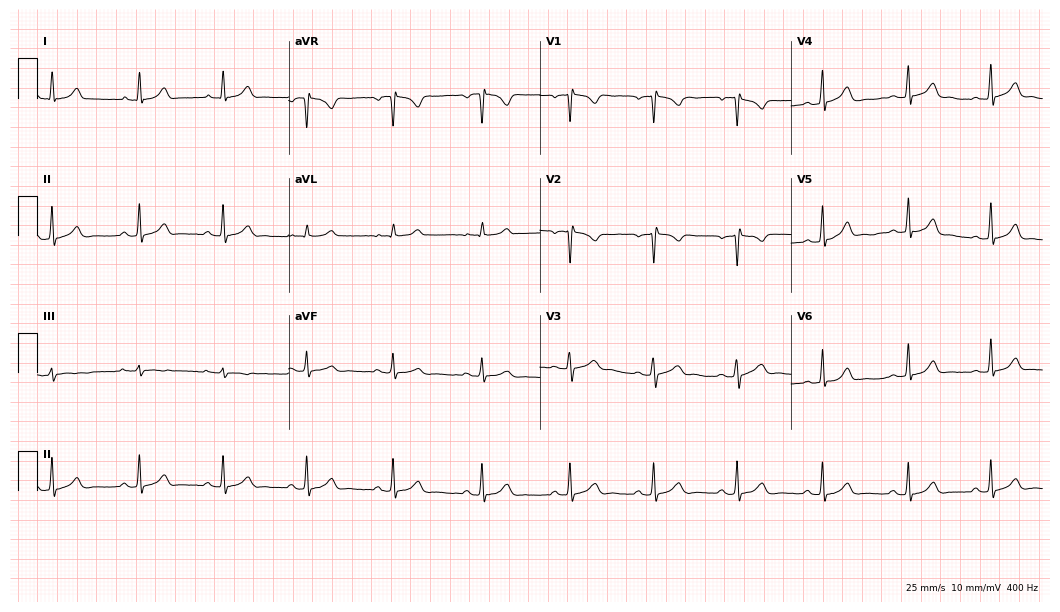
12-lead ECG from a 23-year-old female patient. No first-degree AV block, right bundle branch block, left bundle branch block, sinus bradycardia, atrial fibrillation or sinus tachycardia recorded for this tracing.